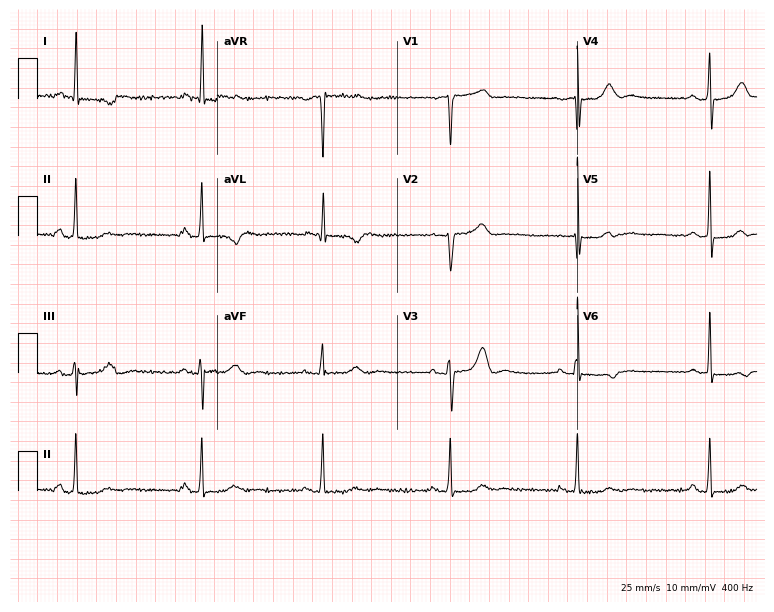
12-lead ECG (7.3-second recording at 400 Hz) from an 85-year-old woman. Findings include sinus bradycardia (a sinus rate of 50 beats per minute or less).